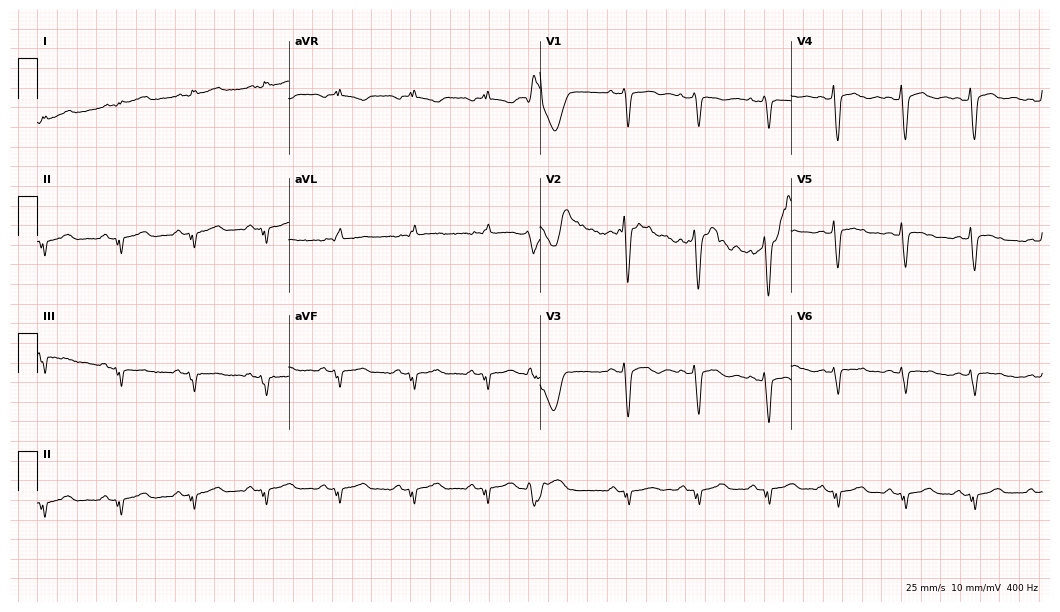
12-lead ECG from a 41-year-old man (10.2-second recording at 400 Hz). No first-degree AV block, right bundle branch block, left bundle branch block, sinus bradycardia, atrial fibrillation or sinus tachycardia recorded for this tracing. Other findings, if any, are not listed.